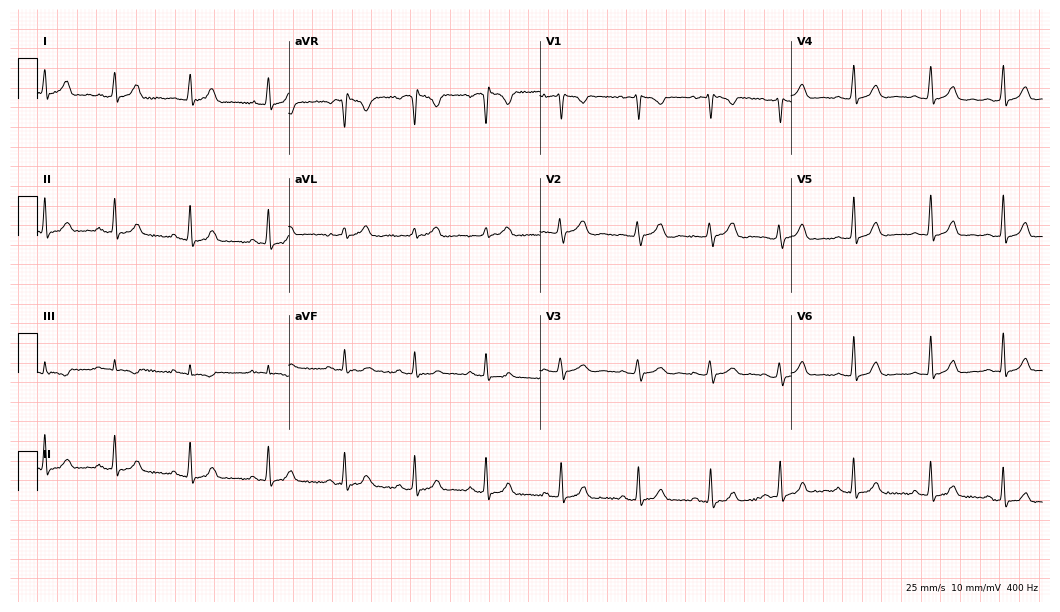
Standard 12-lead ECG recorded from a female, 18 years old (10.2-second recording at 400 Hz). Read as a normal ECG.